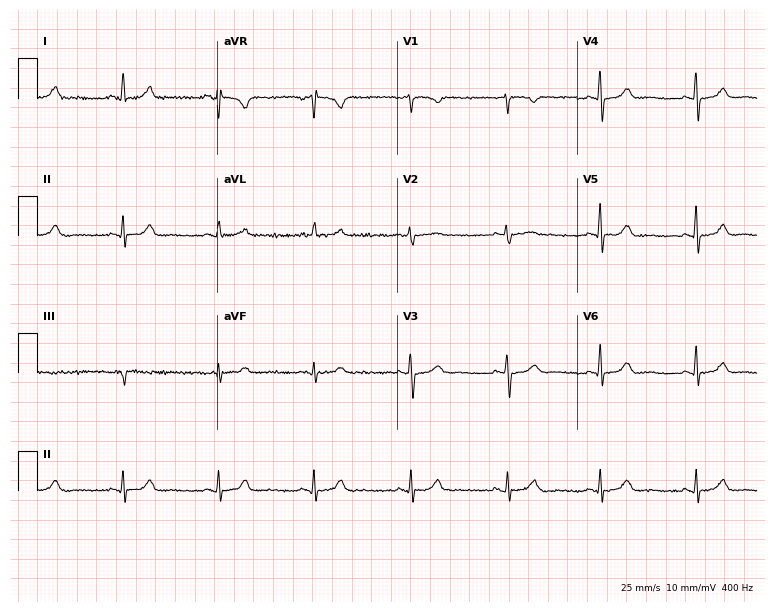
Standard 12-lead ECG recorded from a woman, 61 years old (7.3-second recording at 400 Hz). None of these six findings is recorded: first-degree AV block, right bundle branch block, left bundle branch block, sinus bradycardia, atrial fibrillation, sinus tachycardia.